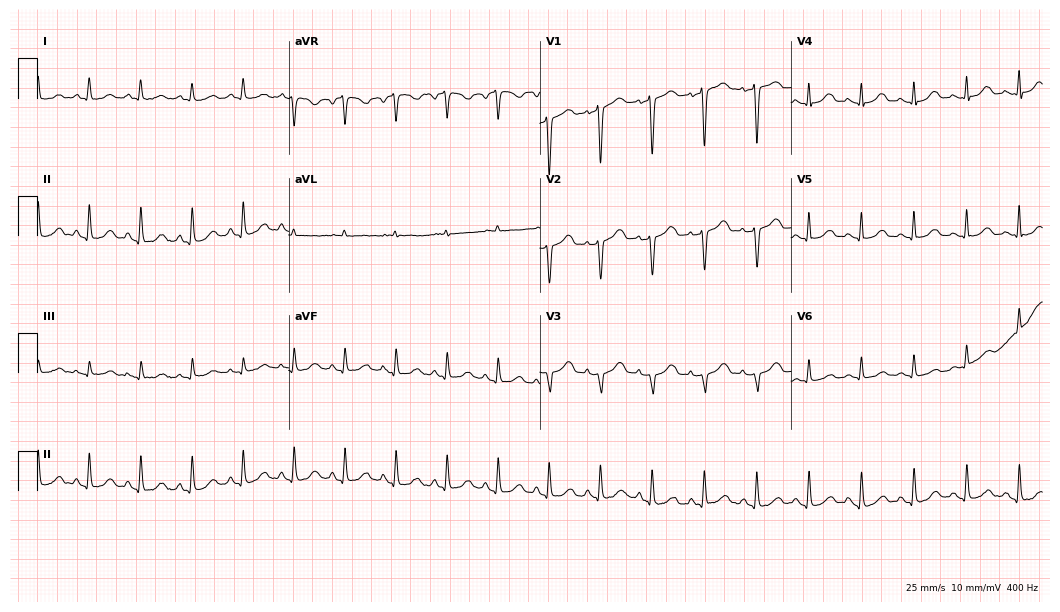
Standard 12-lead ECG recorded from a 55-year-old female patient. The tracing shows sinus tachycardia (a sinus rate of 100 beats per minute or more).